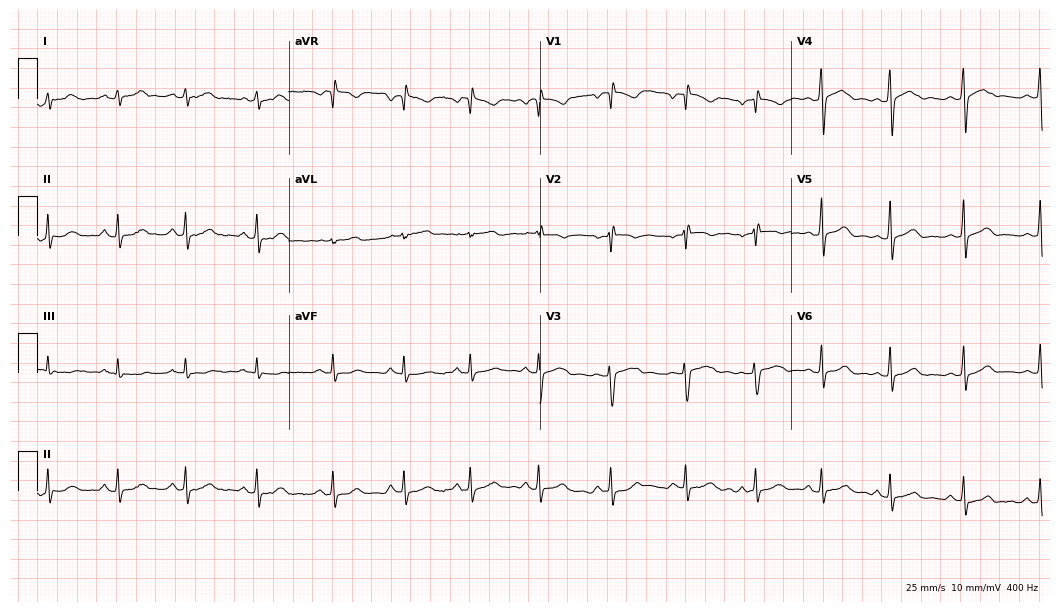
12-lead ECG from an 18-year-old female. Labelled as a normal ECG.